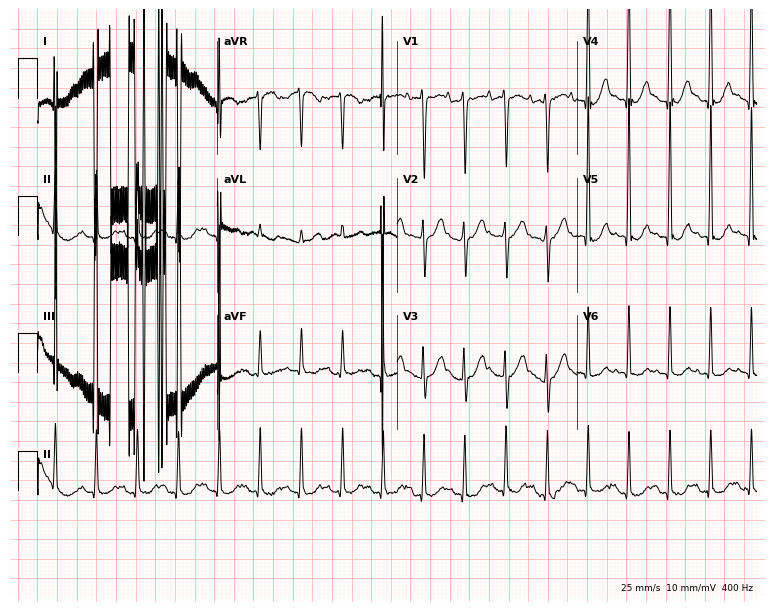
12-lead ECG (7.3-second recording at 400 Hz) from an 82-year-old female. Findings include sinus tachycardia (a sinus rate of 100 beats per minute or more).